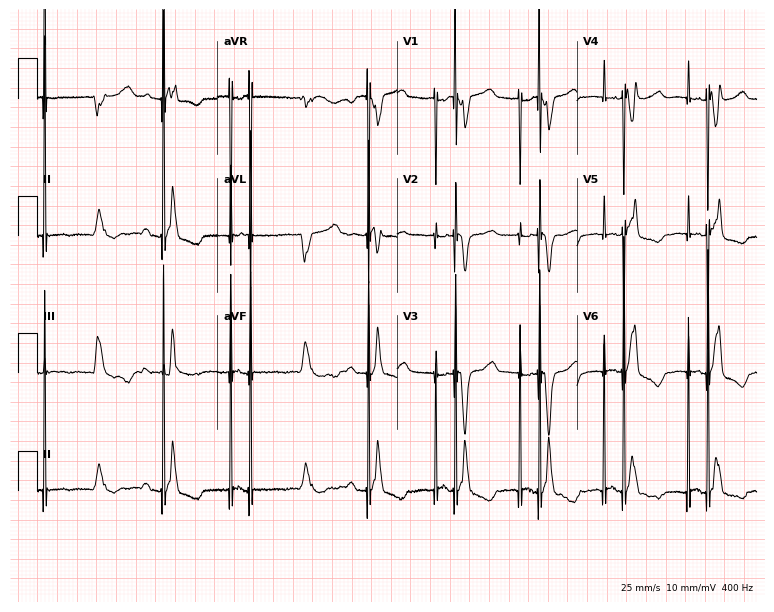
12-lead ECG from a man, 74 years old. No first-degree AV block, right bundle branch block, left bundle branch block, sinus bradycardia, atrial fibrillation or sinus tachycardia recorded for this tracing. Other findings, if any, are not listed.